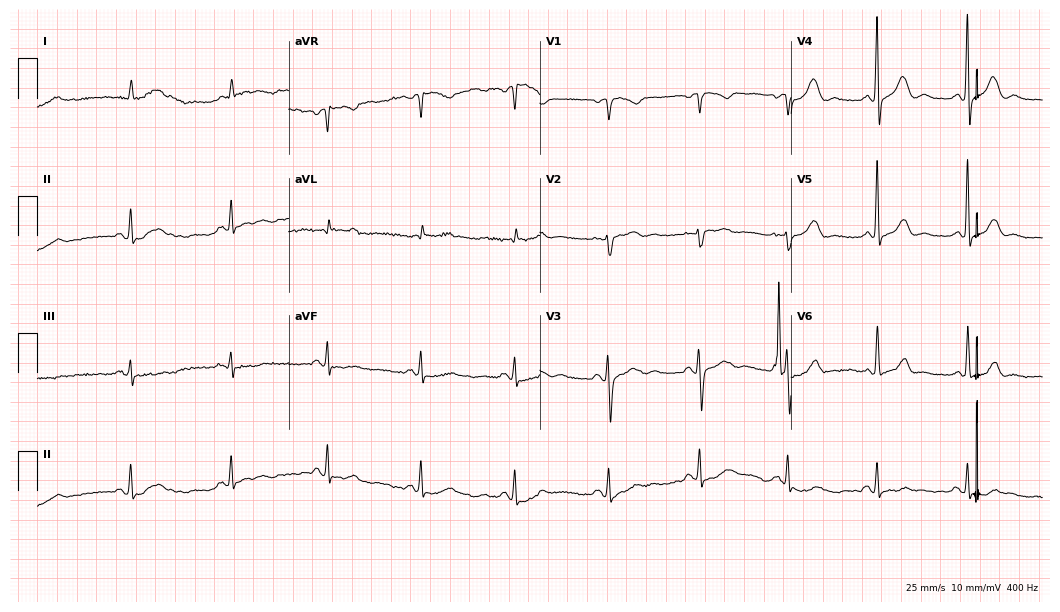
12-lead ECG from a female patient, 78 years old. No first-degree AV block, right bundle branch block (RBBB), left bundle branch block (LBBB), sinus bradycardia, atrial fibrillation (AF) or sinus tachycardia recorded for this tracing. Other findings, if any, are not listed.